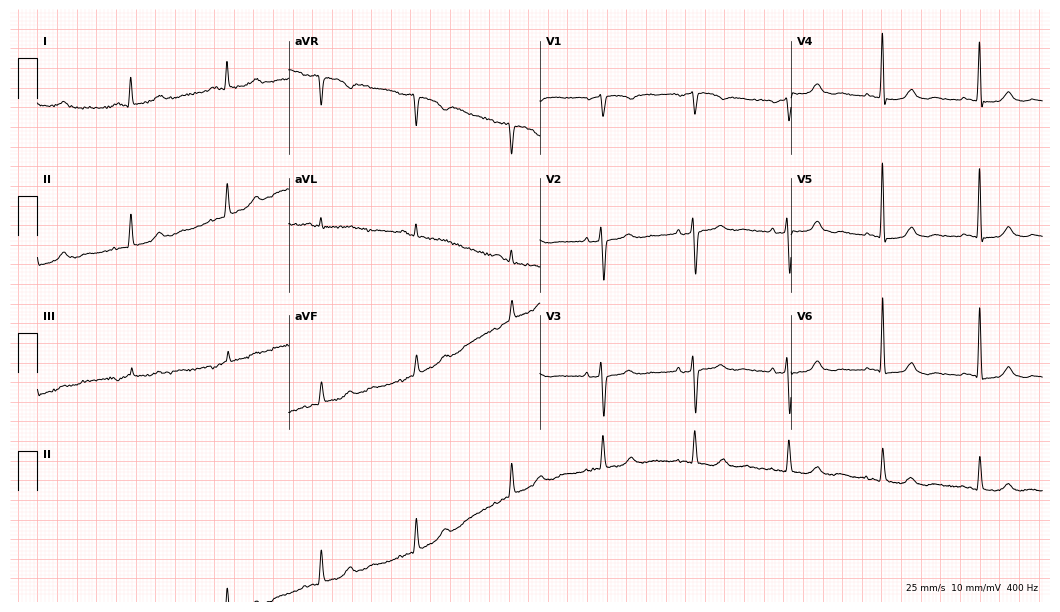
12-lead ECG (10.2-second recording at 400 Hz) from an 83-year-old female patient. Screened for six findings — first-degree AV block, right bundle branch block (RBBB), left bundle branch block (LBBB), sinus bradycardia, atrial fibrillation (AF), sinus tachycardia — none is recorded.